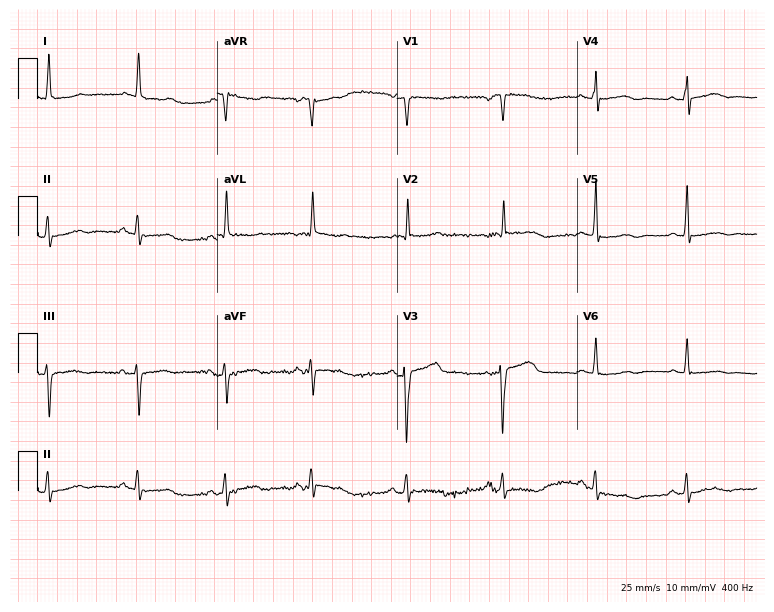
Electrocardiogram (7.3-second recording at 400 Hz), a female, 84 years old. Of the six screened findings (first-degree AV block, right bundle branch block, left bundle branch block, sinus bradycardia, atrial fibrillation, sinus tachycardia), none is recorded. Only these six findings were labelled.